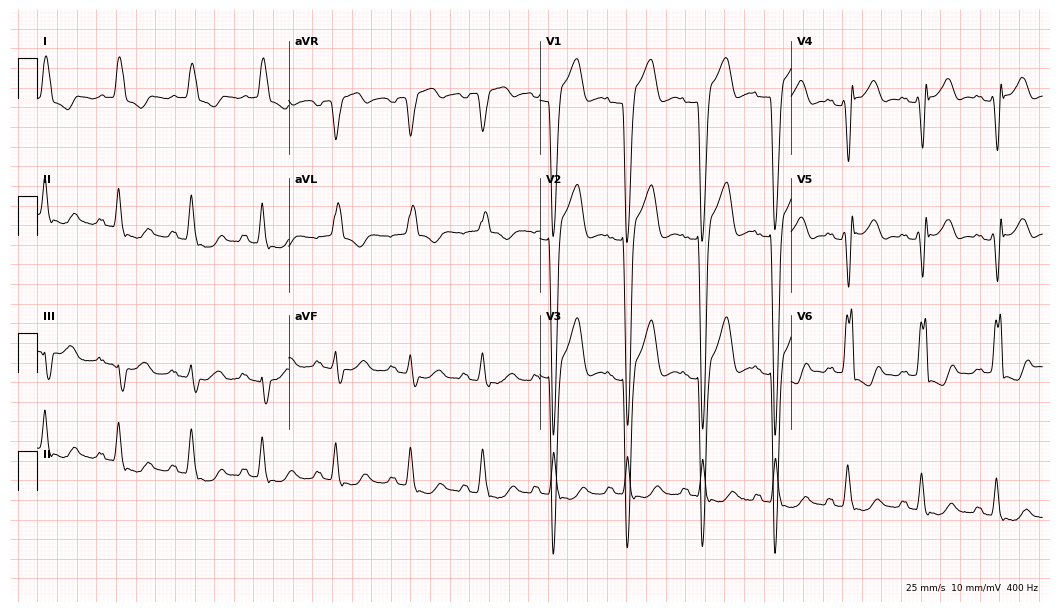
Electrocardiogram, a female patient, 73 years old. Interpretation includes left bundle branch block.